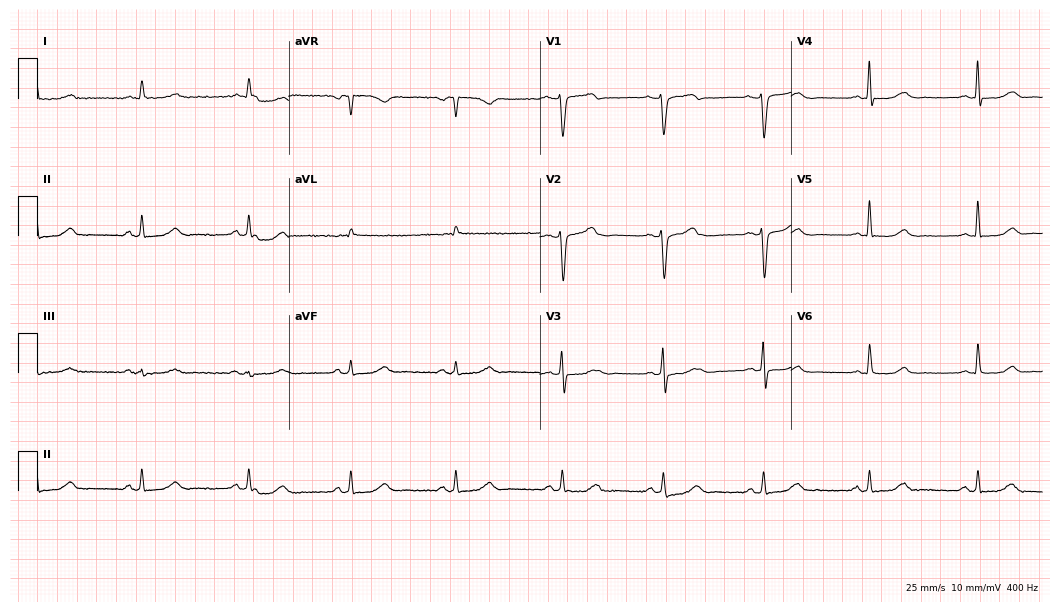
ECG (10.2-second recording at 400 Hz) — a 54-year-old female patient. Labelled as a normal ECG.